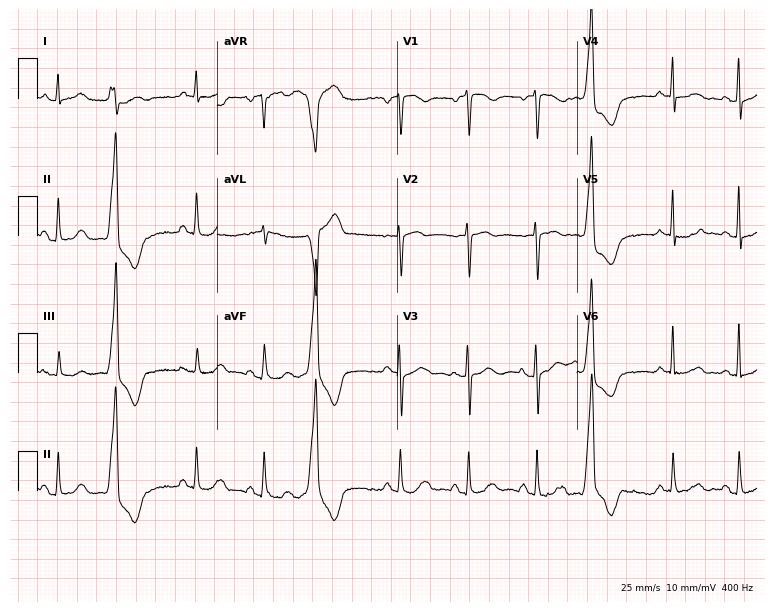
12-lead ECG from a woman, 65 years old. Screened for six findings — first-degree AV block, right bundle branch block, left bundle branch block, sinus bradycardia, atrial fibrillation, sinus tachycardia — none is recorded.